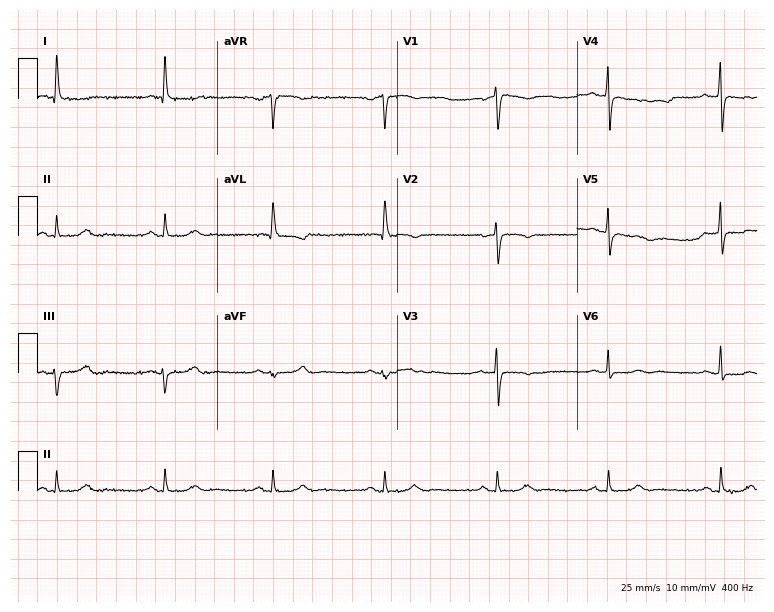
Resting 12-lead electrocardiogram. Patient: a woman, 82 years old. None of these six findings is recorded: first-degree AV block, right bundle branch block (RBBB), left bundle branch block (LBBB), sinus bradycardia, atrial fibrillation (AF), sinus tachycardia. Only these six findings were labelled.